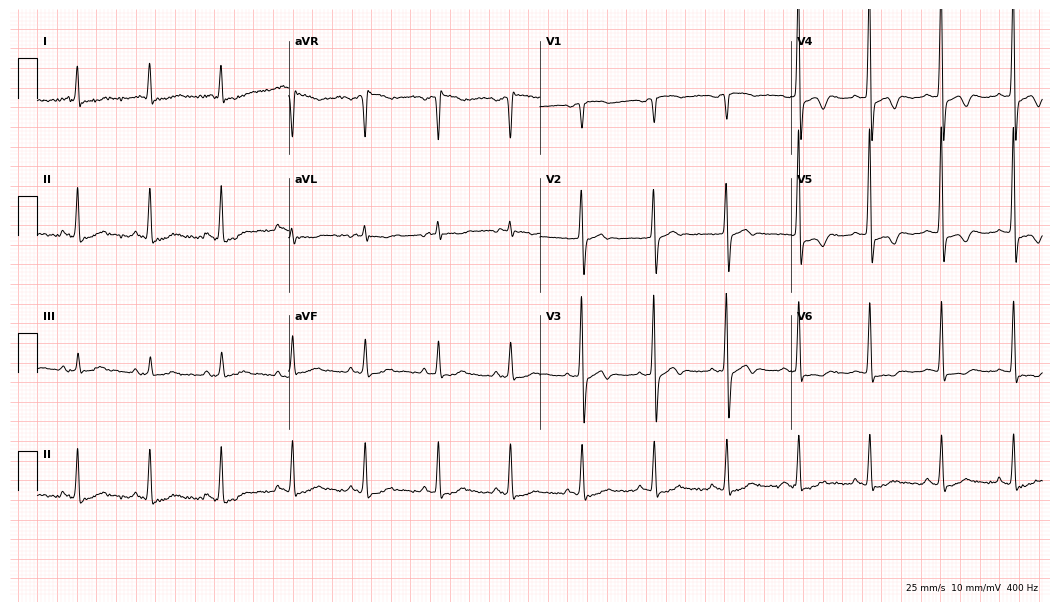
12-lead ECG (10.2-second recording at 400 Hz) from a woman, 82 years old. Screened for six findings — first-degree AV block, right bundle branch block, left bundle branch block, sinus bradycardia, atrial fibrillation, sinus tachycardia — none is recorded.